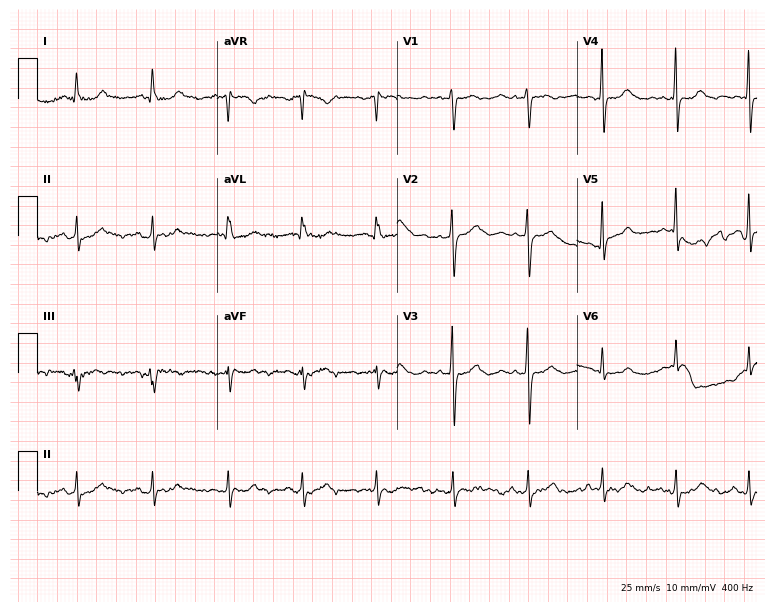
12-lead ECG from a 67-year-old female patient. Labelled as a normal ECG.